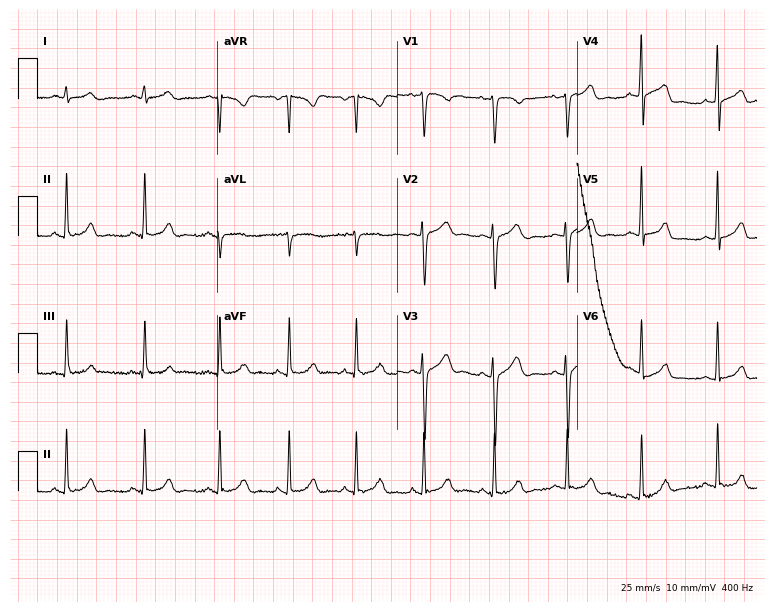
Resting 12-lead electrocardiogram. Patient: a 22-year-old woman. Read as a normal ECG.